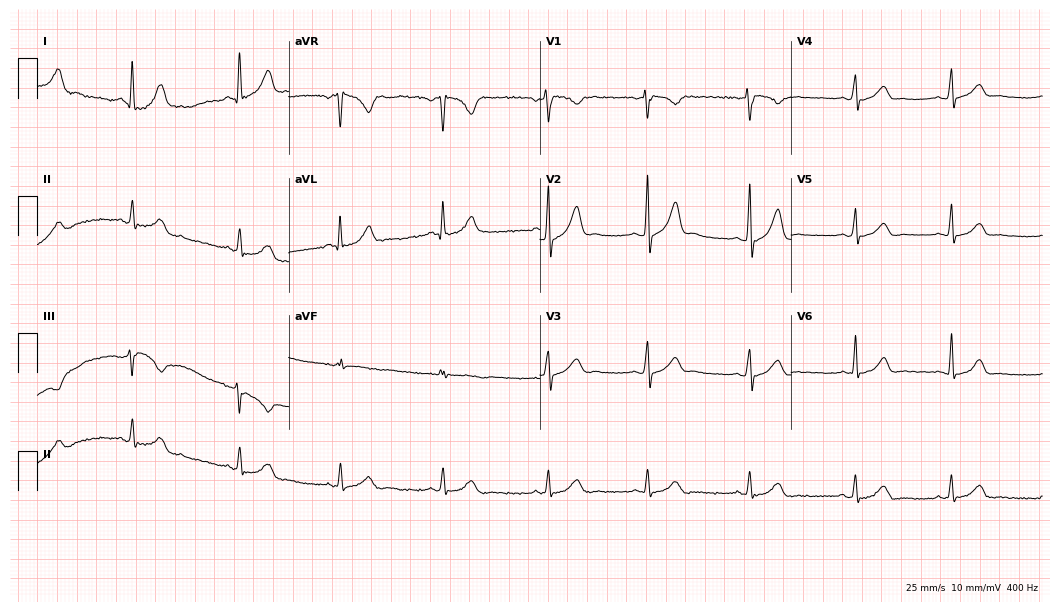
Standard 12-lead ECG recorded from a 30-year-old male. Read as a normal ECG.